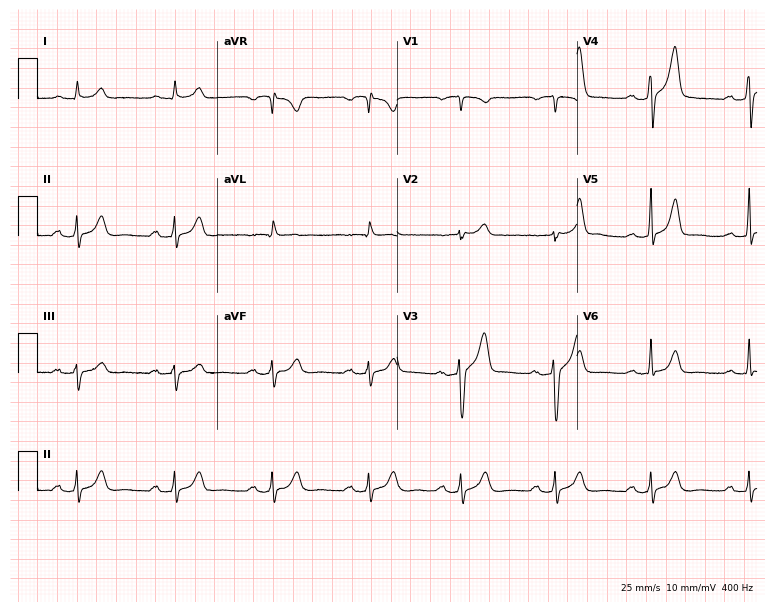
Standard 12-lead ECG recorded from a male, 64 years old (7.3-second recording at 400 Hz). Read as a normal ECG.